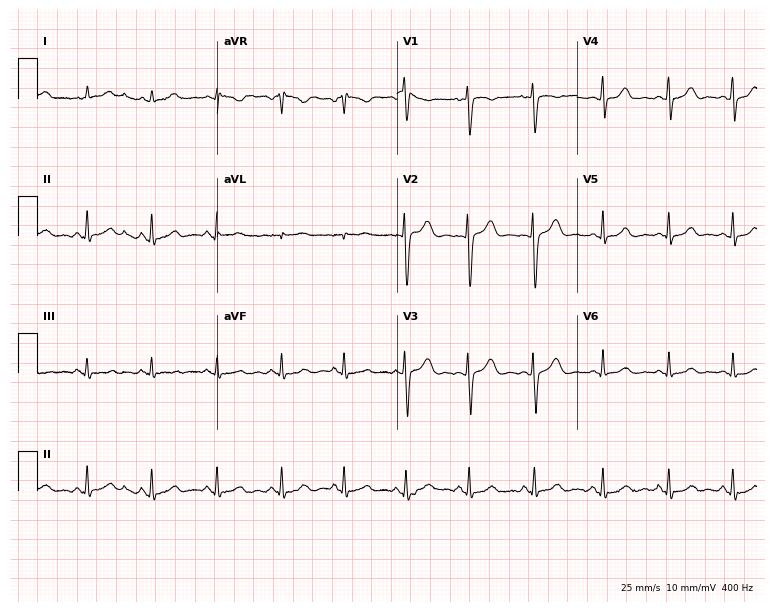
Electrocardiogram, a 25-year-old female. Overall reading on record: normal ECG.